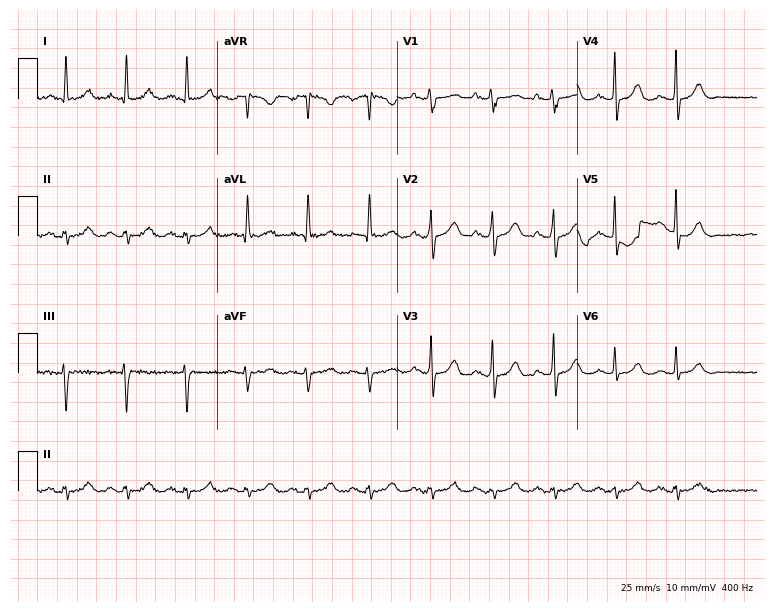
Electrocardiogram (7.3-second recording at 400 Hz), a female, 84 years old. Of the six screened findings (first-degree AV block, right bundle branch block, left bundle branch block, sinus bradycardia, atrial fibrillation, sinus tachycardia), none is recorded. Findings outside these six are not listed.